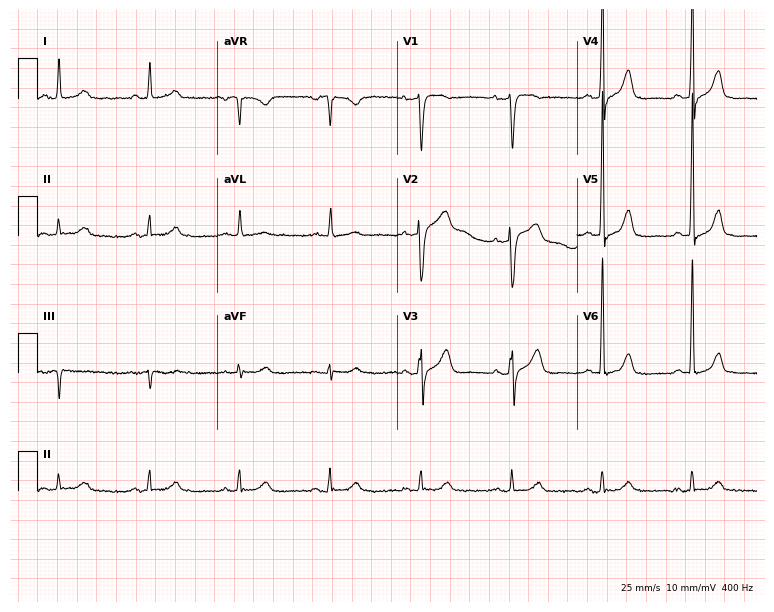
ECG — a female patient, 69 years old. Screened for six findings — first-degree AV block, right bundle branch block, left bundle branch block, sinus bradycardia, atrial fibrillation, sinus tachycardia — none is recorded. Findings outside these six are not listed.